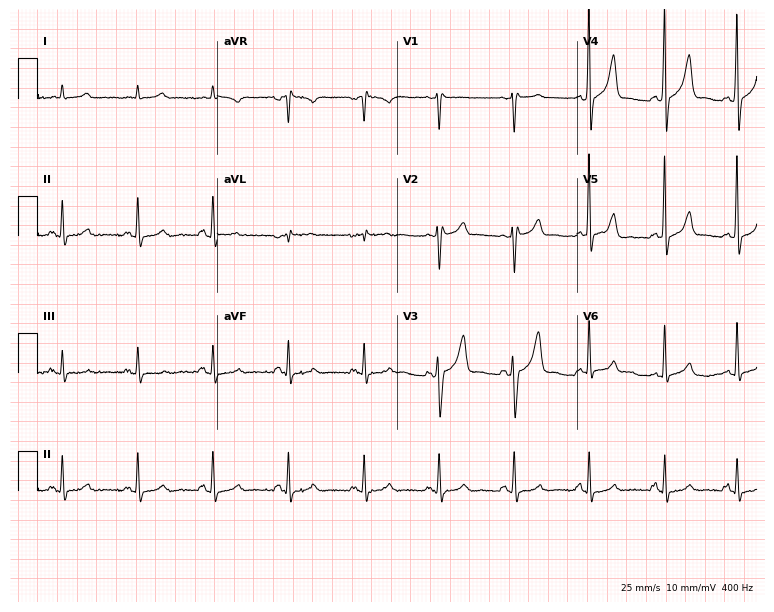
12-lead ECG from a male, 68 years old. Screened for six findings — first-degree AV block, right bundle branch block, left bundle branch block, sinus bradycardia, atrial fibrillation, sinus tachycardia — none is recorded.